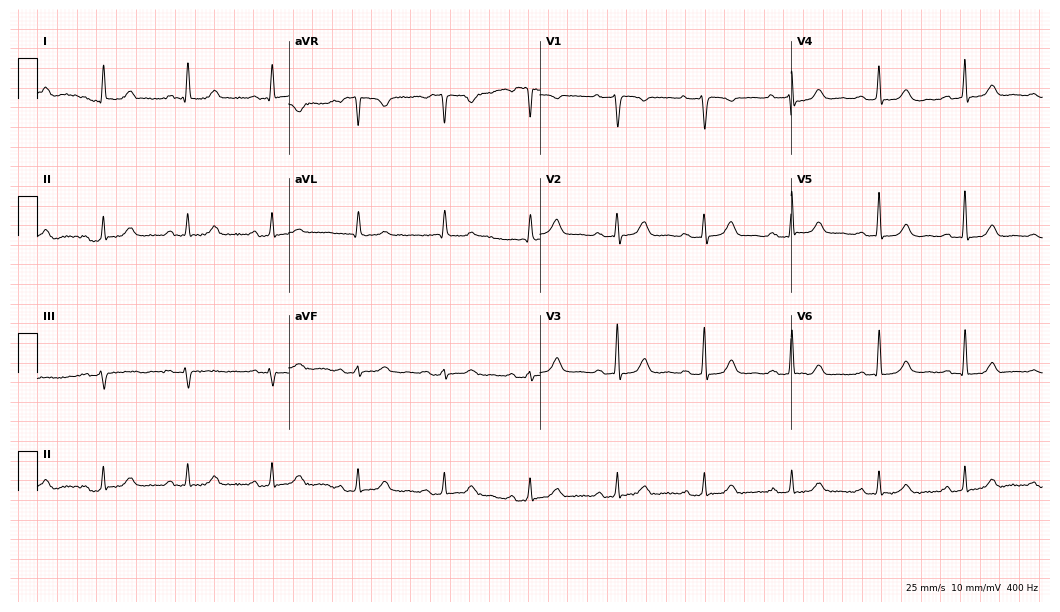
12-lead ECG (10.2-second recording at 400 Hz) from a woman, 80 years old. Screened for six findings — first-degree AV block, right bundle branch block, left bundle branch block, sinus bradycardia, atrial fibrillation, sinus tachycardia — none is recorded.